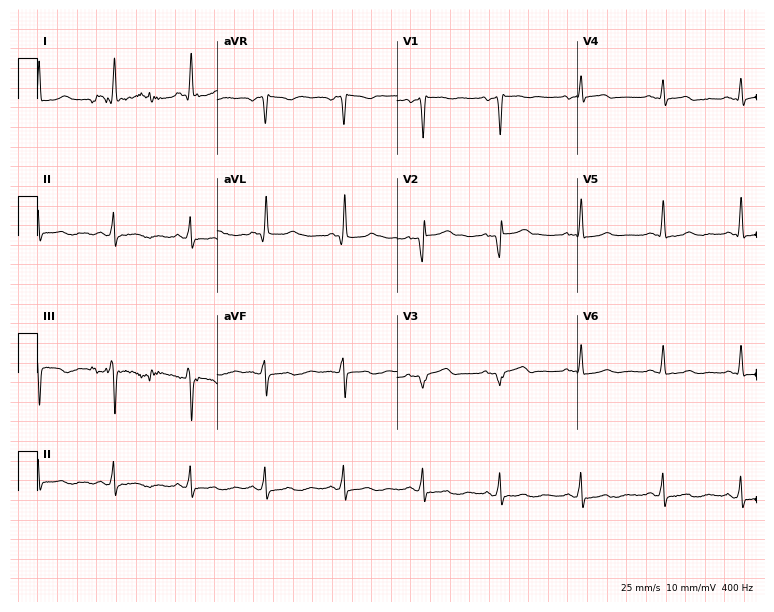
Electrocardiogram, a 47-year-old man. Of the six screened findings (first-degree AV block, right bundle branch block (RBBB), left bundle branch block (LBBB), sinus bradycardia, atrial fibrillation (AF), sinus tachycardia), none is recorded. Other findings, if any, are not listed.